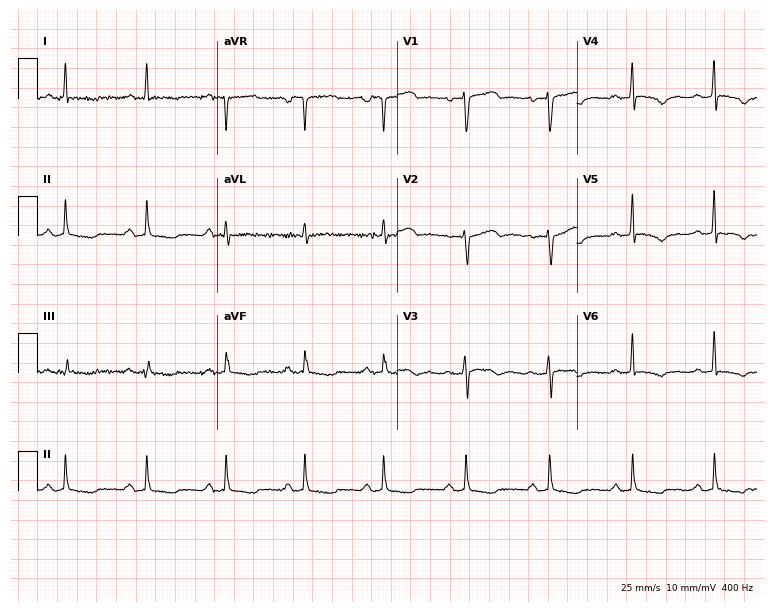
Standard 12-lead ECG recorded from a 53-year-old woman. None of these six findings is recorded: first-degree AV block, right bundle branch block, left bundle branch block, sinus bradycardia, atrial fibrillation, sinus tachycardia.